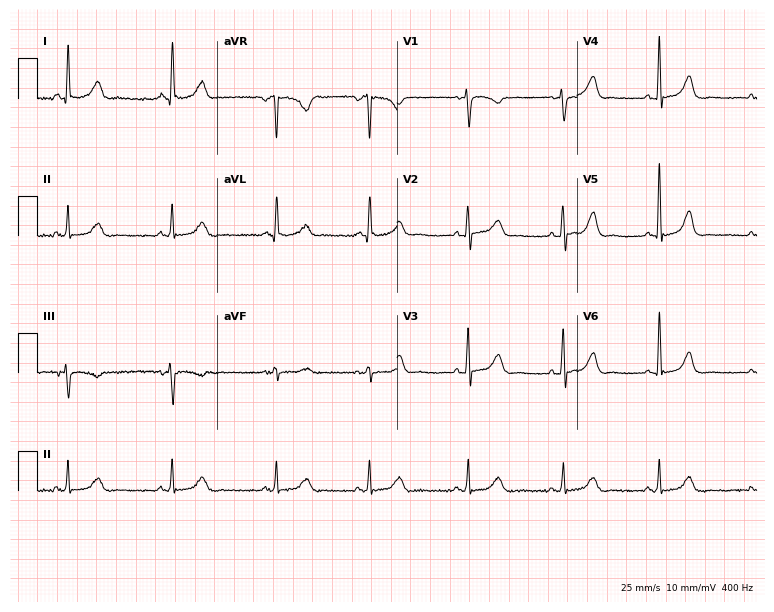
12-lead ECG (7.3-second recording at 400 Hz) from a woman, 66 years old. Labelled as a normal ECG.